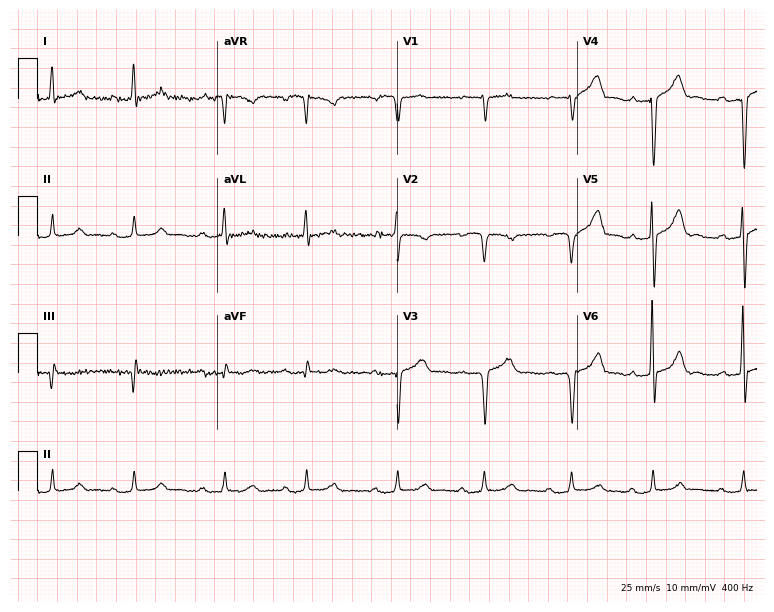
12-lead ECG from a man, 69 years old (7.3-second recording at 400 Hz). Shows first-degree AV block.